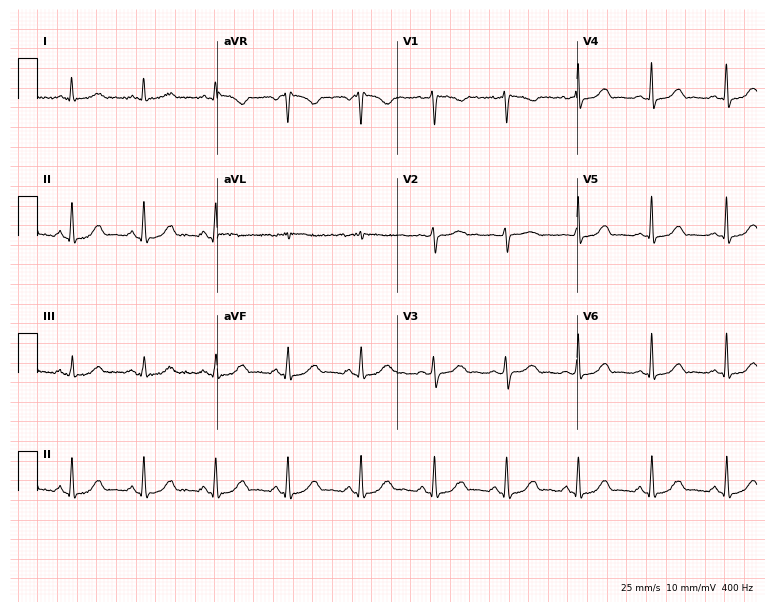
Standard 12-lead ECG recorded from a female patient, 46 years old (7.3-second recording at 400 Hz). Read as a normal ECG.